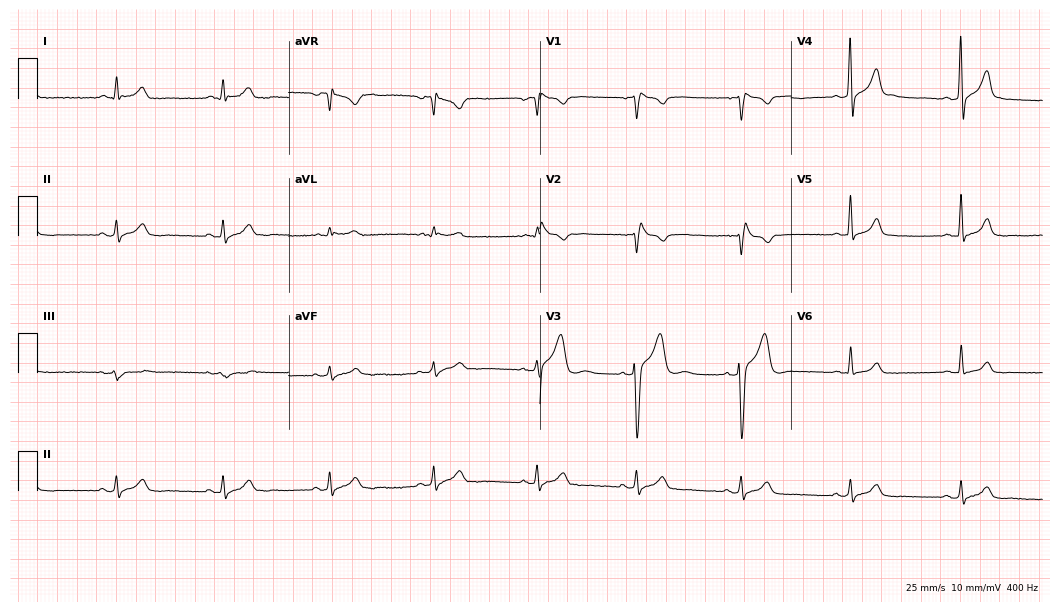
Standard 12-lead ECG recorded from a male, 45 years old. The tracing shows right bundle branch block.